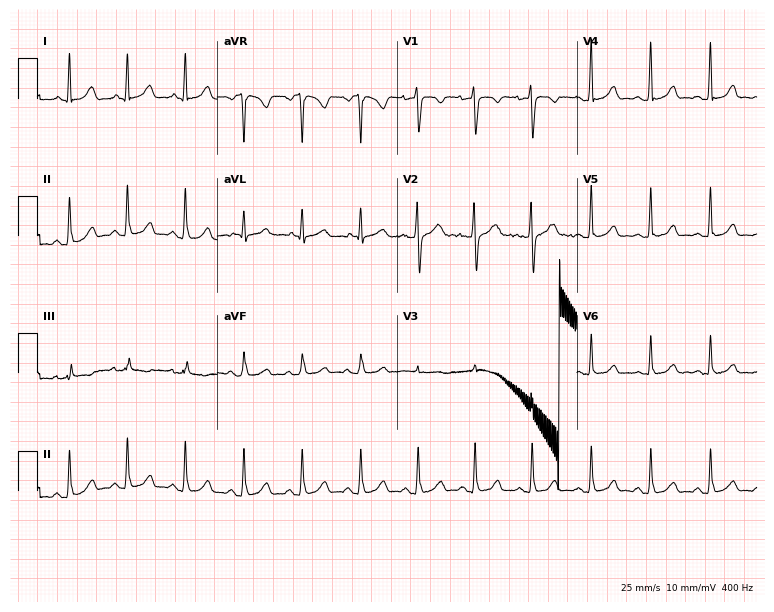
12-lead ECG from a woman, 34 years old. Screened for six findings — first-degree AV block, right bundle branch block, left bundle branch block, sinus bradycardia, atrial fibrillation, sinus tachycardia — none is recorded. Only these six findings were labelled.